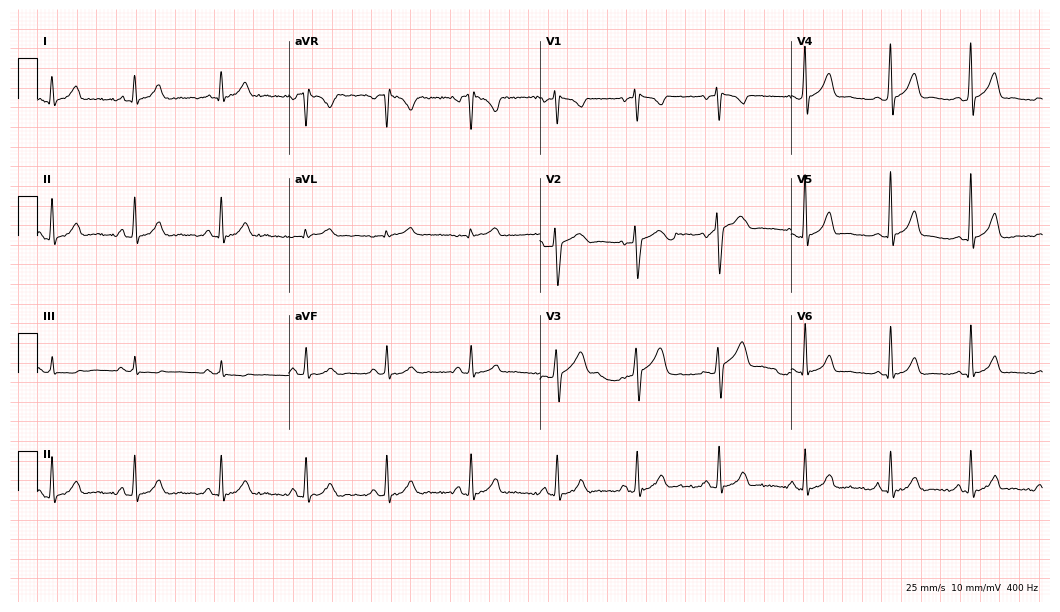
12-lead ECG (10.2-second recording at 400 Hz) from a 31-year-old female. Labelled as a normal ECG.